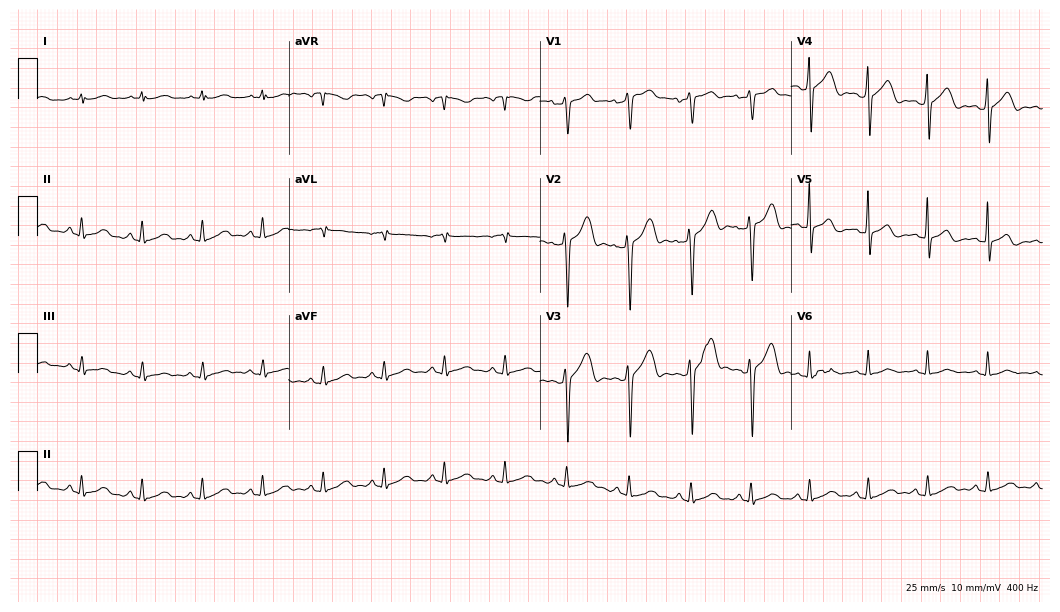
Resting 12-lead electrocardiogram (10.2-second recording at 400 Hz). Patient: a man, 34 years old. Read as a normal ECG.